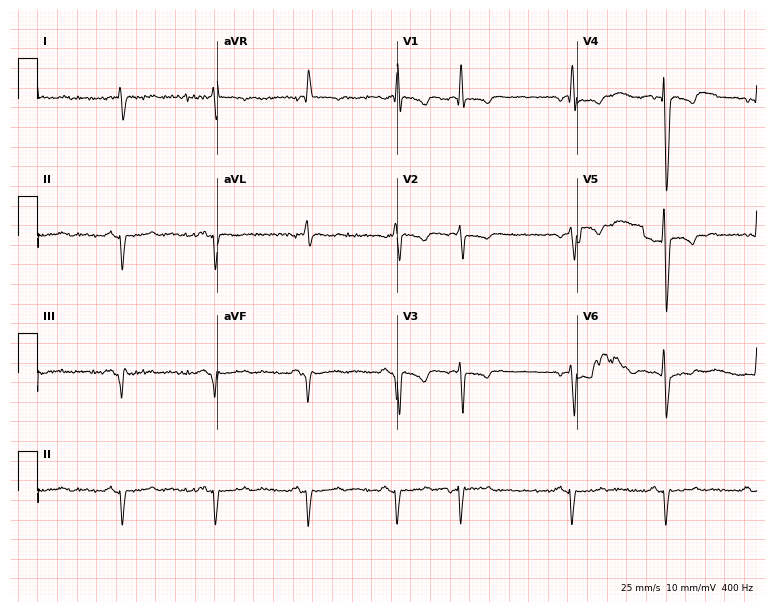
12-lead ECG from a male patient, 79 years old. No first-degree AV block, right bundle branch block (RBBB), left bundle branch block (LBBB), sinus bradycardia, atrial fibrillation (AF) or sinus tachycardia recorded for this tracing.